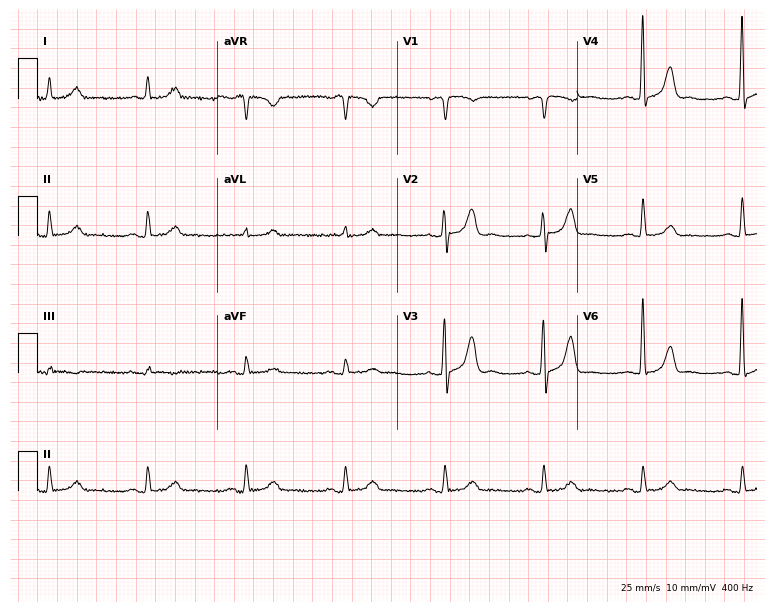
Standard 12-lead ECG recorded from a man, 81 years old. None of these six findings is recorded: first-degree AV block, right bundle branch block (RBBB), left bundle branch block (LBBB), sinus bradycardia, atrial fibrillation (AF), sinus tachycardia. Other findings, if any, are not listed.